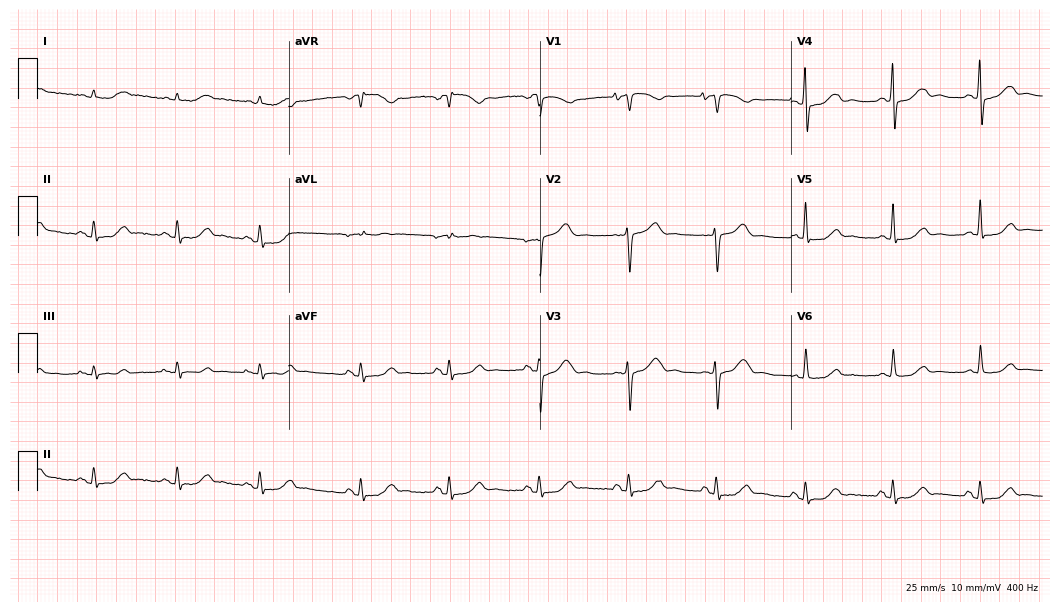
12-lead ECG from a female patient, 85 years old (10.2-second recording at 400 Hz). No first-degree AV block, right bundle branch block (RBBB), left bundle branch block (LBBB), sinus bradycardia, atrial fibrillation (AF) or sinus tachycardia recorded for this tracing. Findings outside these six are not listed.